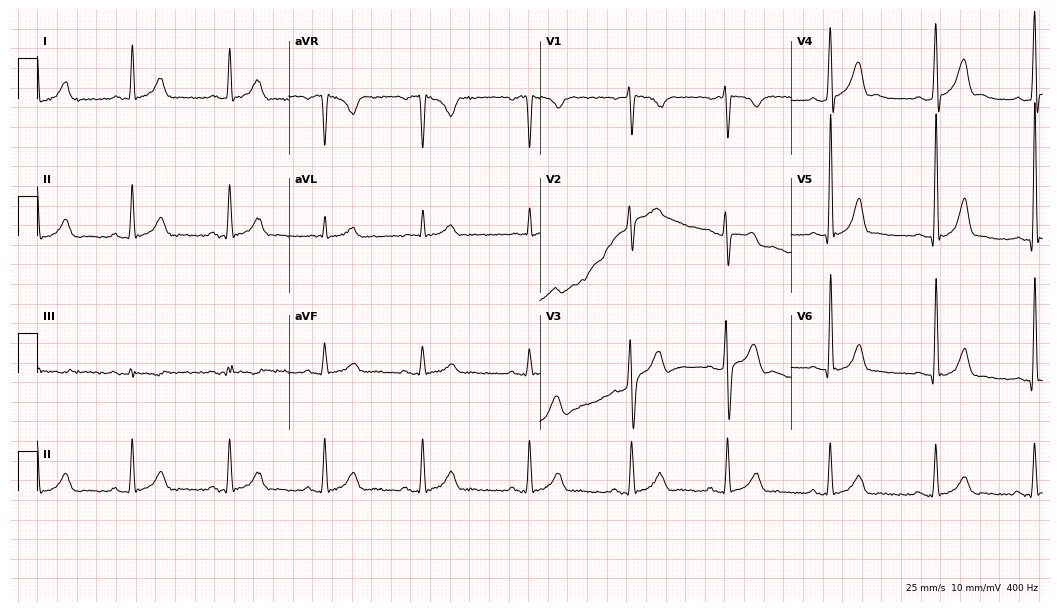
ECG — a male patient, 32 years old. Labelled as a normal ECG.